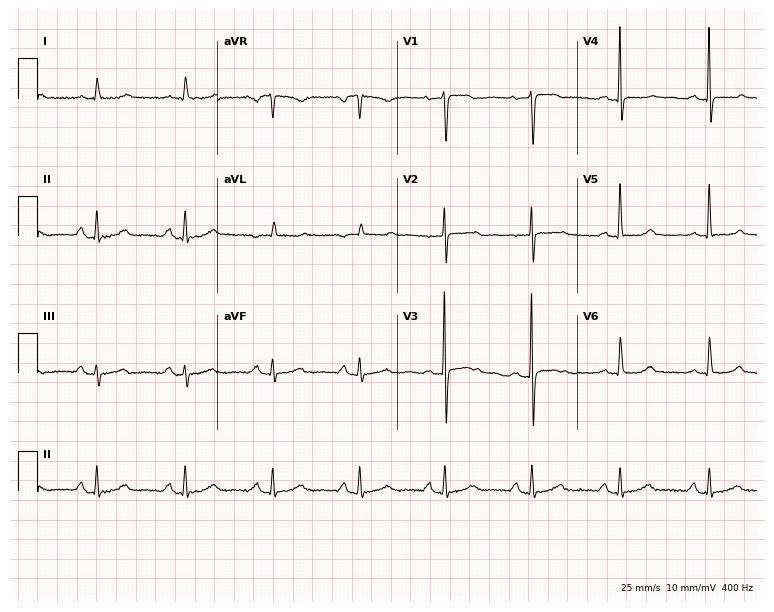
Electrocardiogram (7.3-second recording at 400 Hz), a 75-year-old woman. Overall reading on record: normal ECG.